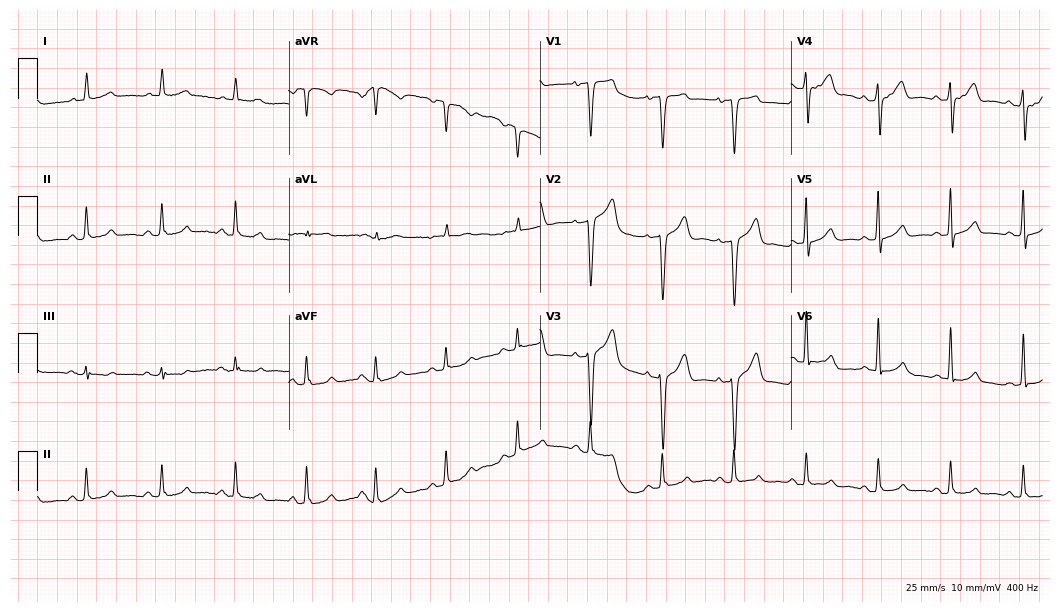
12-lead ECG (10.2-second recording at 400 Hz) from a 79-year-old man. Screened for six findings — first-degree AV block, right bundle branch block (RBBB), left bundle branch block (LBBB), sinus bradycardia, atrial fibrillation (AF), sinus tachycardia — none is recorded.